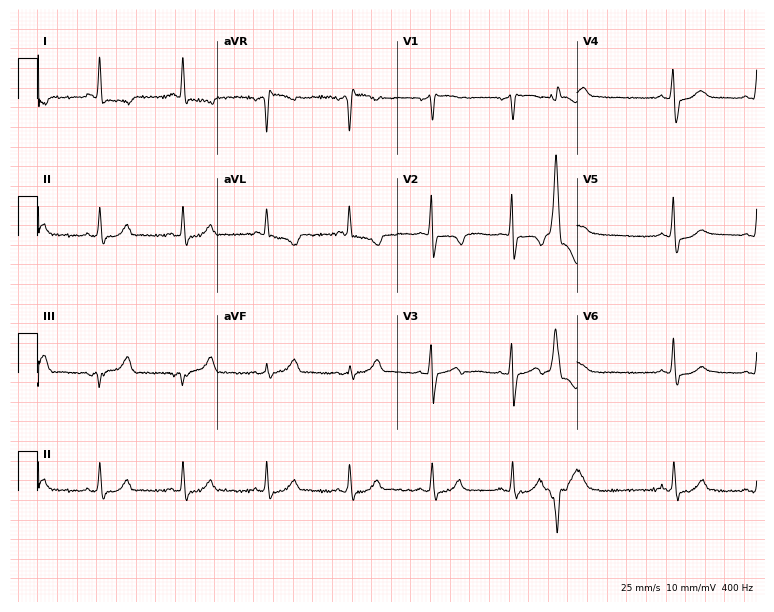
ECG (7.3-second recording at 400 Hz) — an 84-year-old woman. Screened for six findings — first-degree AV block, right bundle branch block, left bundle branch block, sinus bradycardia, atrial fibrillation, sinus tachycardia — none is recorded. Only these six findings were labelled.